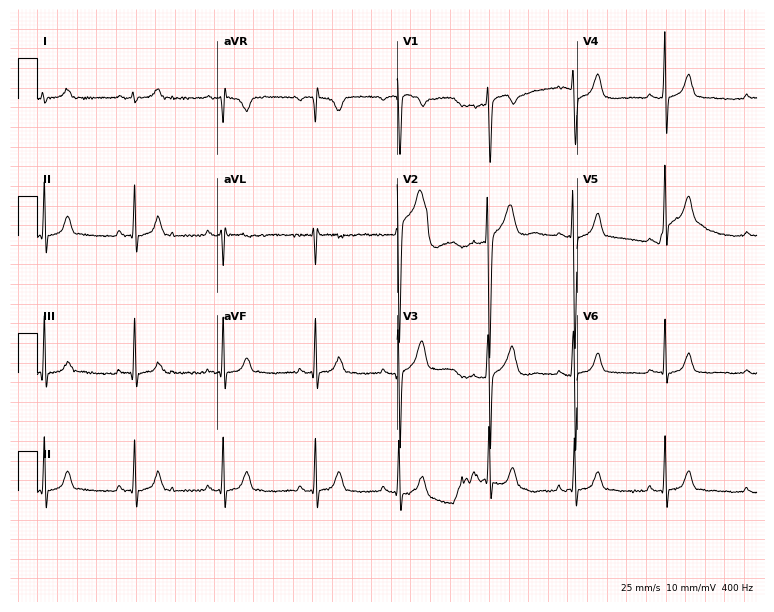
Electrocardiogram (7.3-second recording at 400 Hz), a man, 26 years old. Overall reading on record: normal ECG.